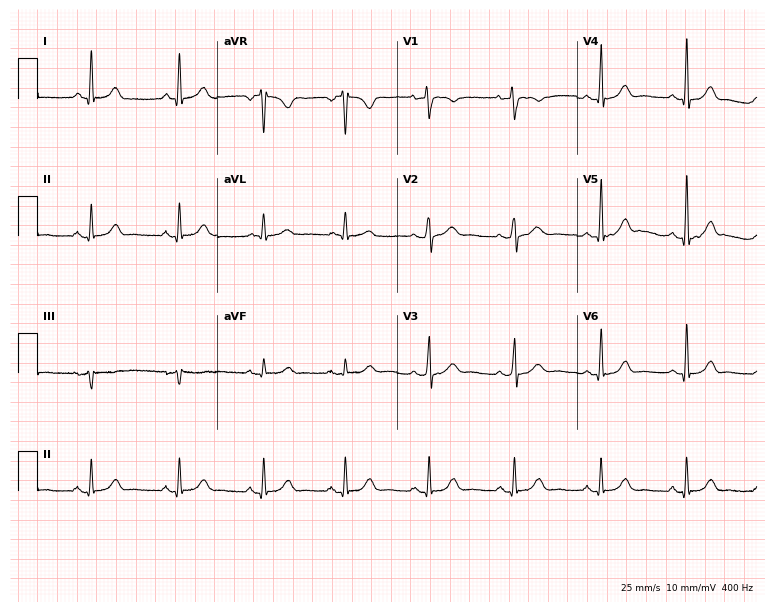
12-lead ECG from a 62-year-old woman (7.3-second recording at 400 Hz). Recorded interpretation: within normal limits.